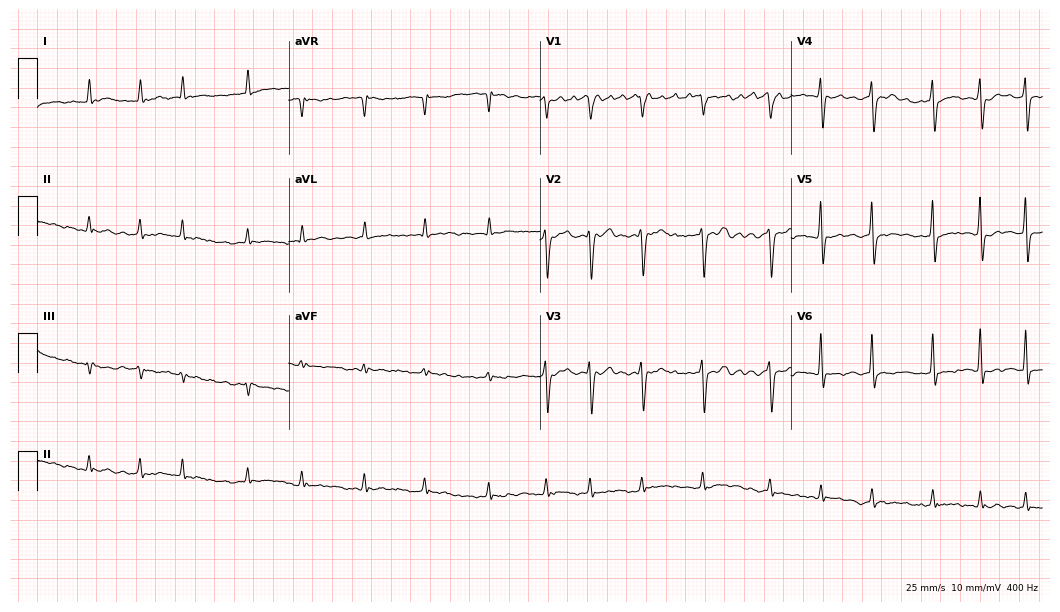
Standard 12-lead ECG recorded from an 80-year-old male patient (10.2-second recording at 400 Hz). The tracing shows atrial fibrillation.